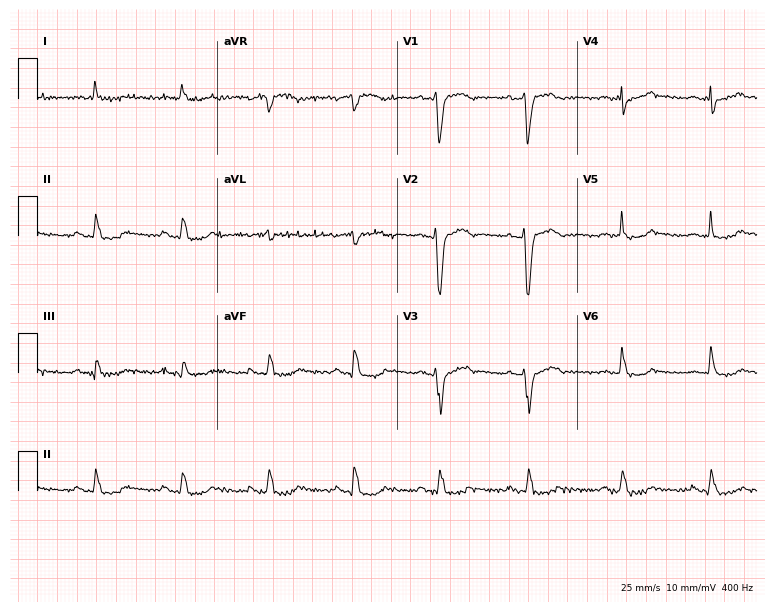
12-lead ECG (7.3-second recording at 400 Hz) from a male patient, 79 years old. Screened for six findings — first-degree AV block, right bundle branch block (RBBB), left bundle branch block (LBBB), sinus bradycardia, atrial fibrillation (AF), sinus tachycardia — none is recorded.